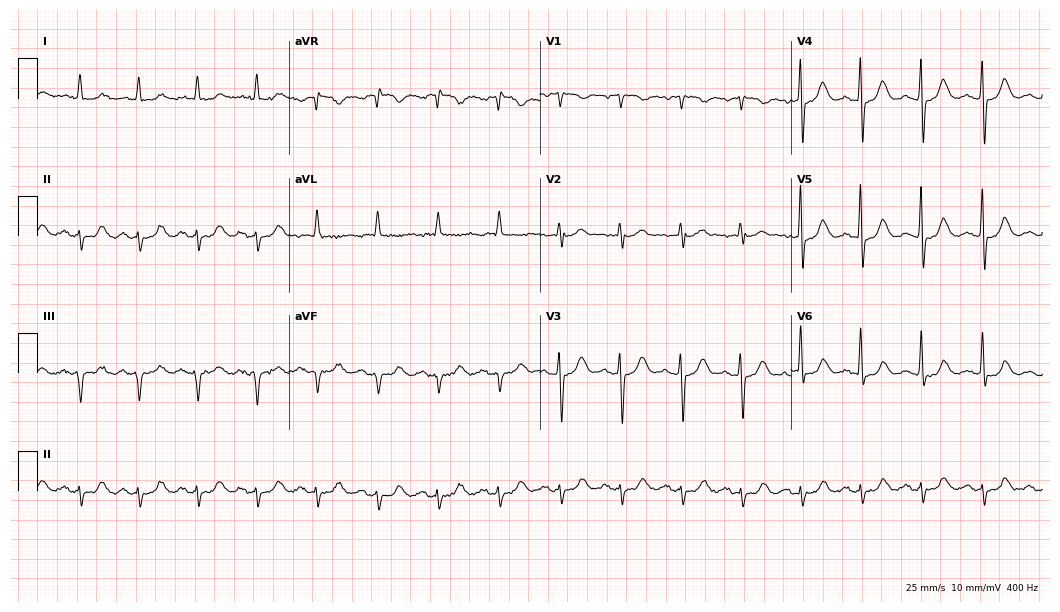
Electrocardiogram (10.2-second recording at 400 Hz), a female, 75 years old. Of the six screened findings (first-degree AV block, right bundle branch block (RBBB), left bundle branch block (LBBB), sinus bradycardia, atrial fibrillation (AF), sinus tachycardia), none is recorded. Findings outside these six are not listed.